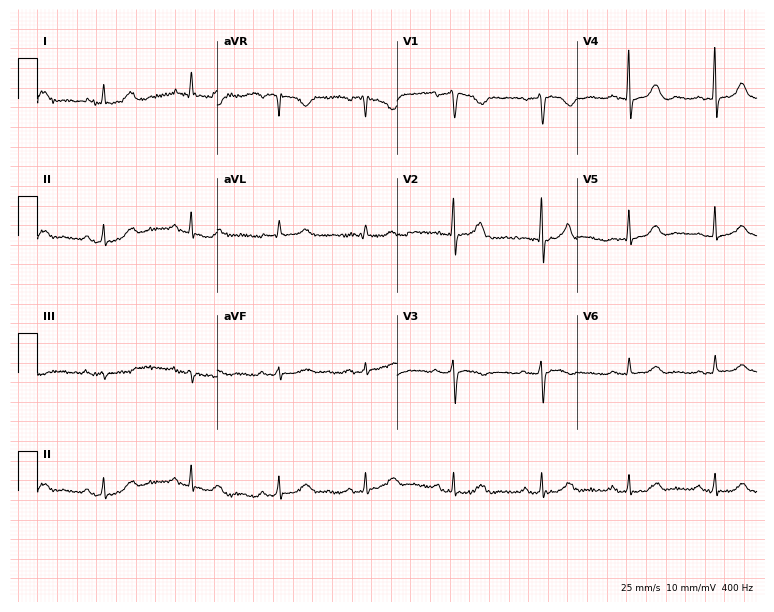
Resting 12-lead electrocardiogram. Patient: a 79-year-old female. Read as a normal ECG.